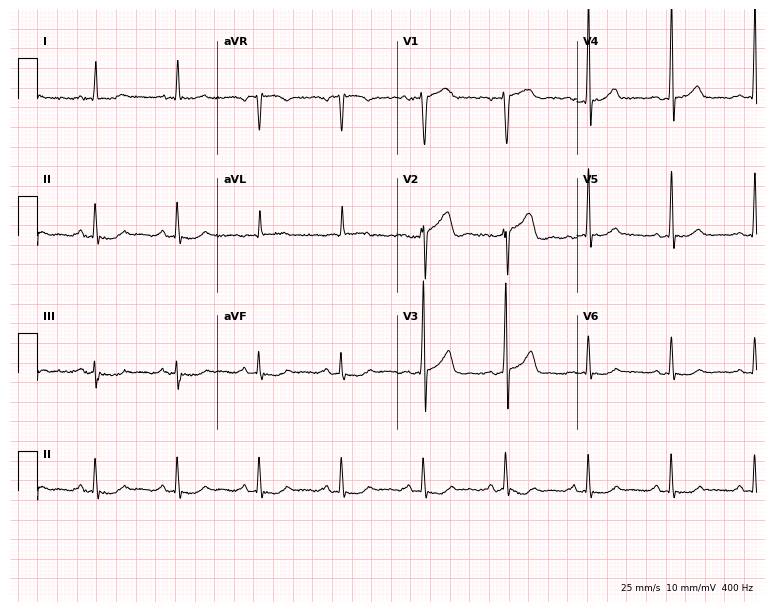
ECG (7.3-second recording at 400 Hz) — a male patient, 56 years old. Screened for six findings — first-degree AV block, right bundle branch block (RBBB), left bundle branch block (LBBB), sinus bradycardia, atrial fibrillation (AF), sinus tachycardia — none is recorded.